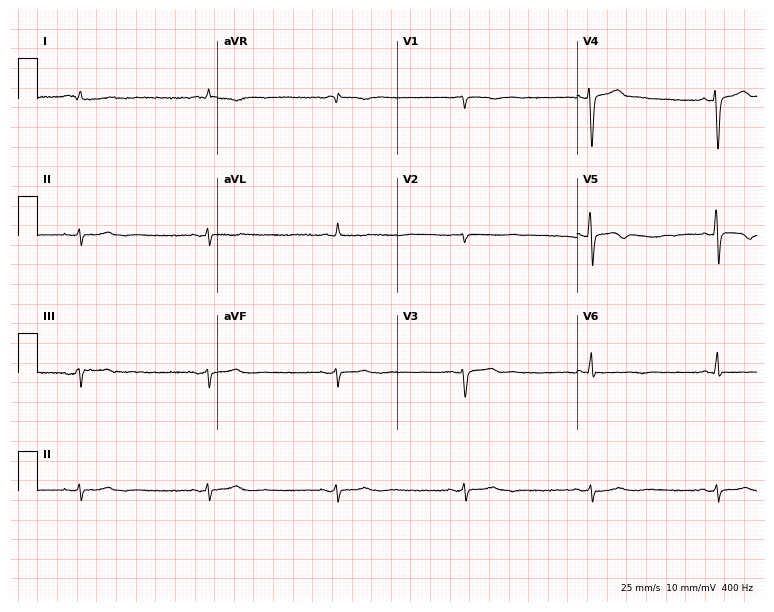
ECG — a 44-year-old male. Screened for six findings — first-degree AV block, right bundle branch block, left bundle branch block, sinus bradycardia, atrial fibrillation, sinus tachycardia — none is recorded. Other findings, if any, are not listed.